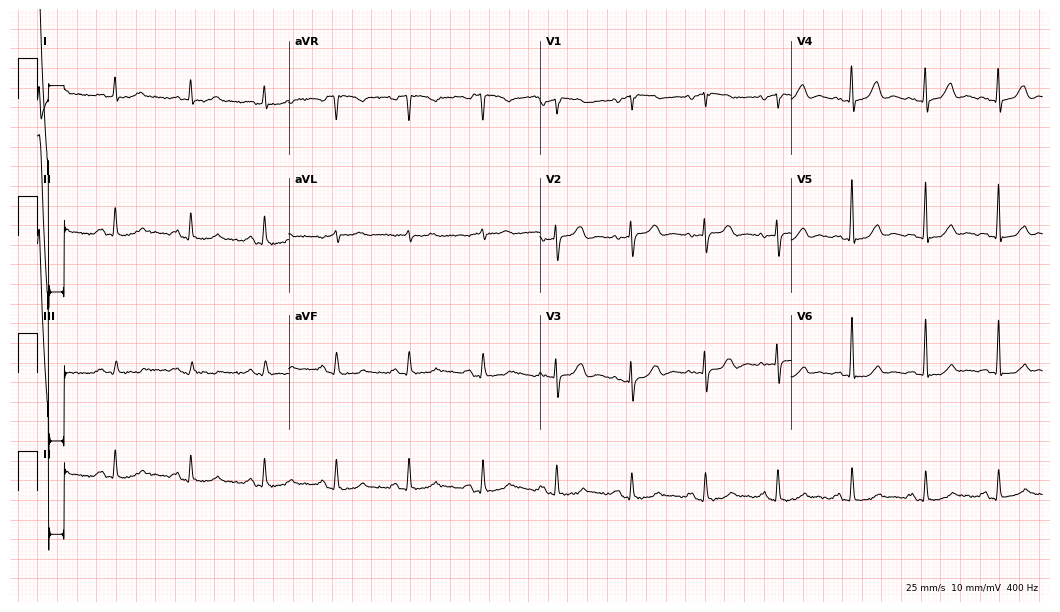
12-lead ECG from a female, 80 years old (10.2-second recording at 400 Hz). Recorded interpretation: within normal limits.